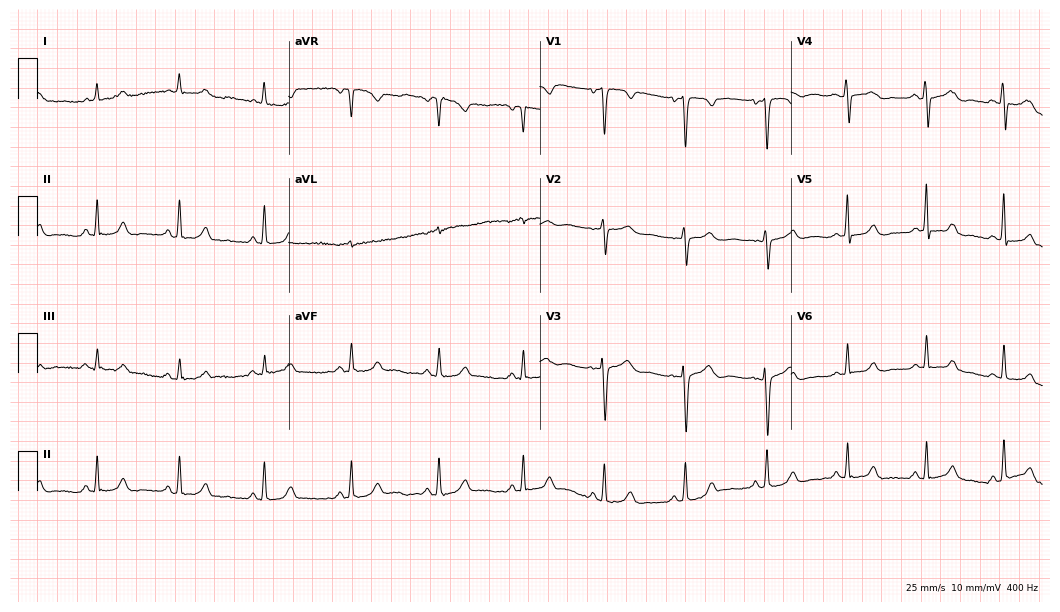
Electrocardiogram, a woman, 40 years old. Overall reading on record: normal ECG.